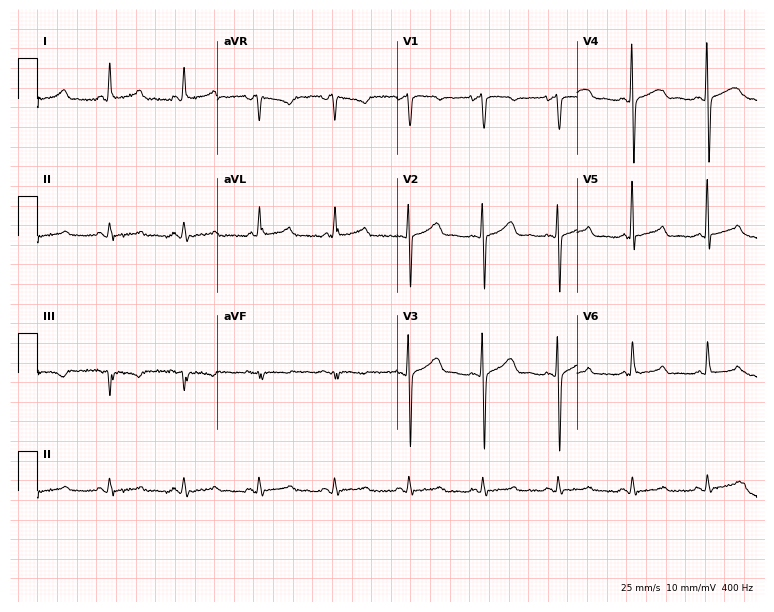
Electrocardiogram (7.3-second recording at 400 Hz), a female patient, 62 years old. Of the six screened findings (first-degree AV block, right bundle branch block (RBBB), left bundle branch block (LBBB), sinus bradycardia, atrial fibrillation (AF), sinus tachycardia), none is recorded. Findings outside these six are not listed.